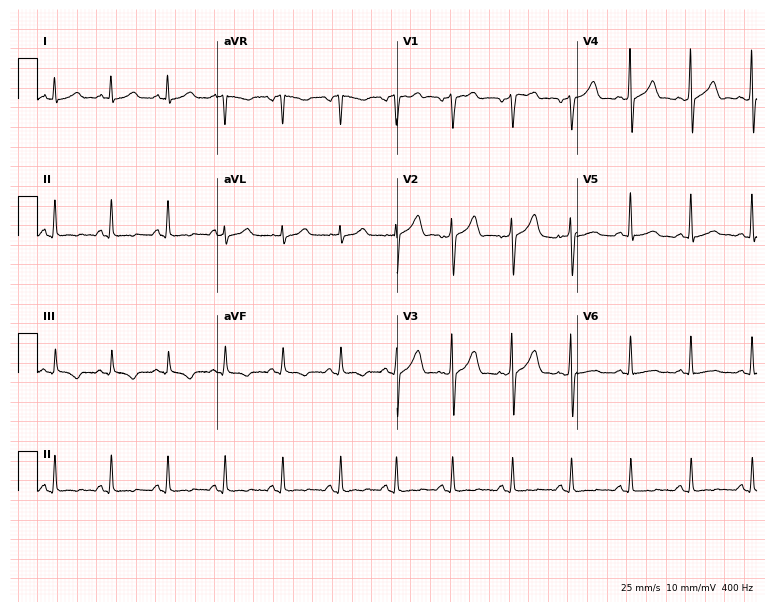
12-lead ECG from a 47-year-old man. Labelled as a normal ECG.